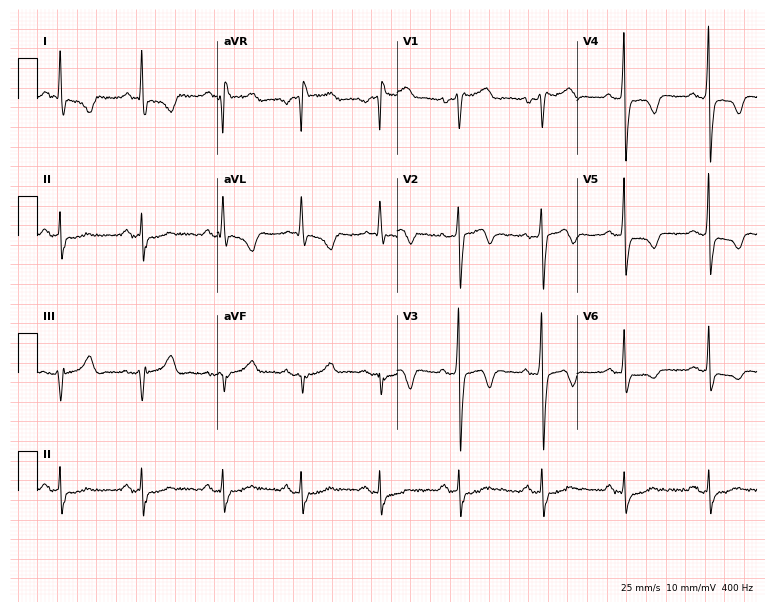
Electrocardiogram, a 50-year-old male patient. Of the six screened findings (first-degree AV block, right bundle branch block (RBBB), left bundle branch block (LBBB), sinus bradycardia, atrial fibrillation (AF), sinus tachycardia), none is recorded. Other findings, if any, are not listed.